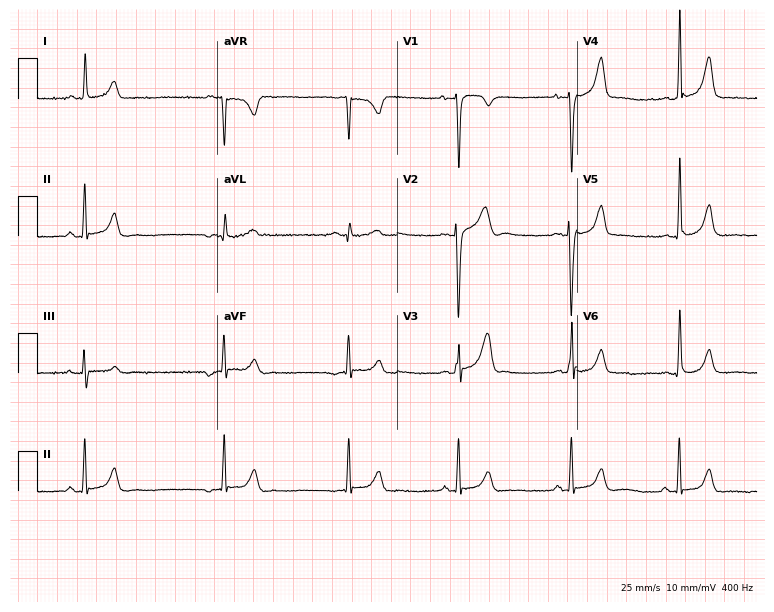
ECG — a 28-year-old male. Labelled as a normal ECG.